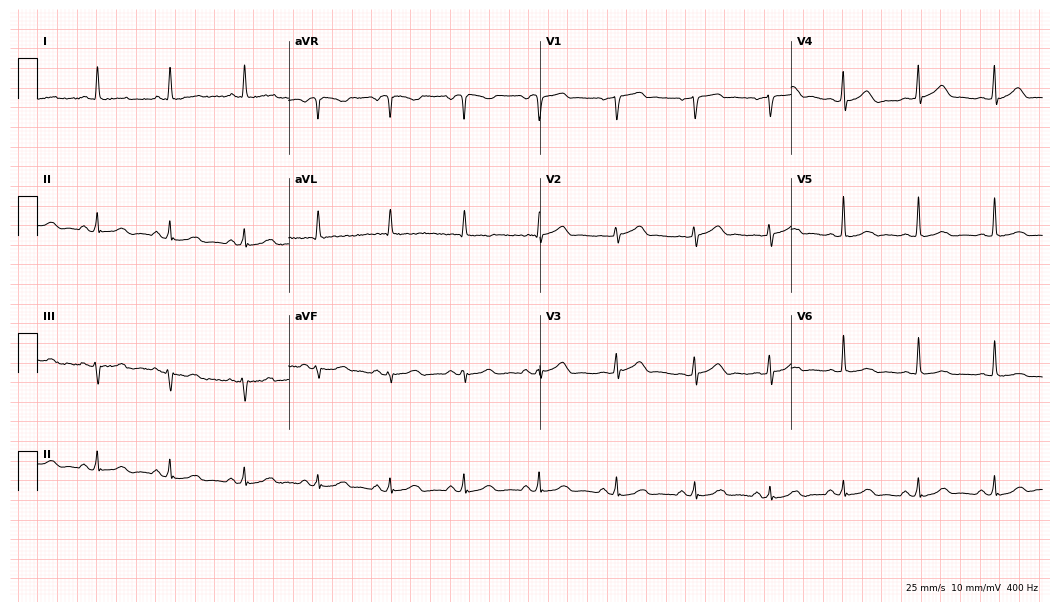
Electrocardiogram, a 65-year-old female patient. Of the six screened findings (first-degree AV block, right bundle branch block (RBBB), left bundle branch block (LBBB), sinus bradycardia, atrial fibrillation (AF), sinus tachycardia), none is recorded.